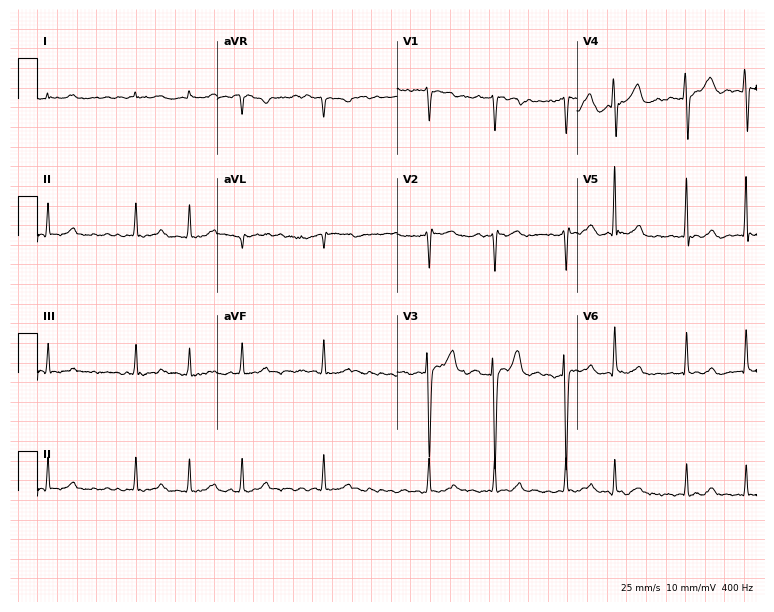
ECG — a 57-year-old male. Findings include atrial fibrillation.